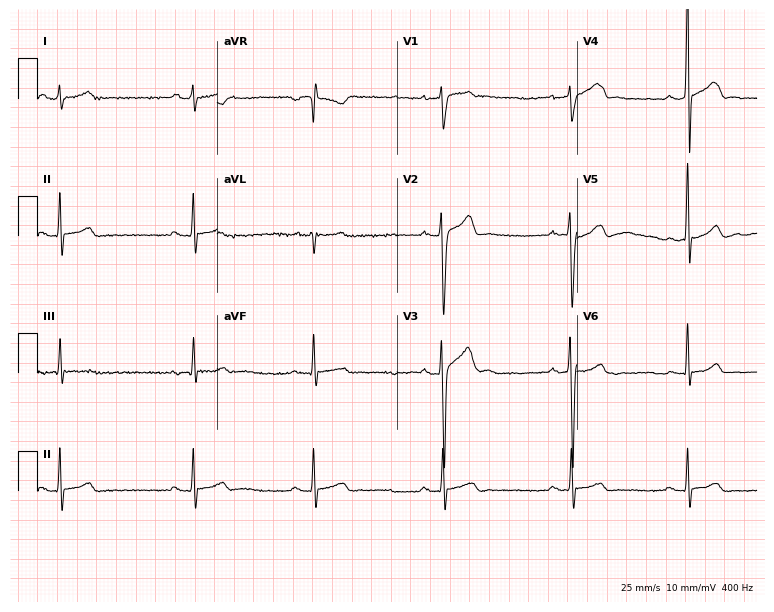
Resting 12-lead electrocardiogram. Patient: a man, 19 years old. None of these six findings is recorded: first-degree AV block, right bundle branch block (RBBB), left bundle branch block (LBBB), sinus bradycardia, atrial fibrillation (AF), sinus tachycardia. Only these six findings were labelled.